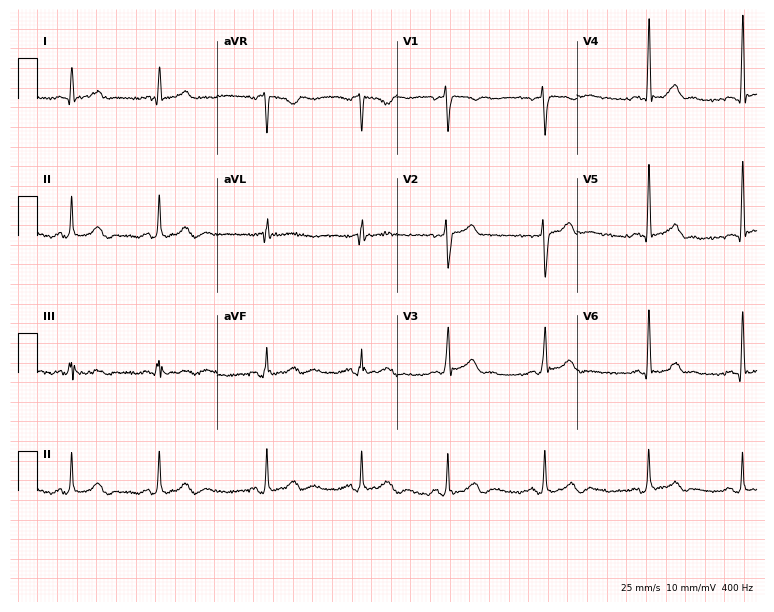
Resting 12-lead electrocardiogram (7.3-second recording at 400 Hz). Patient: a male, 27 years old. Read as a normal ECG.